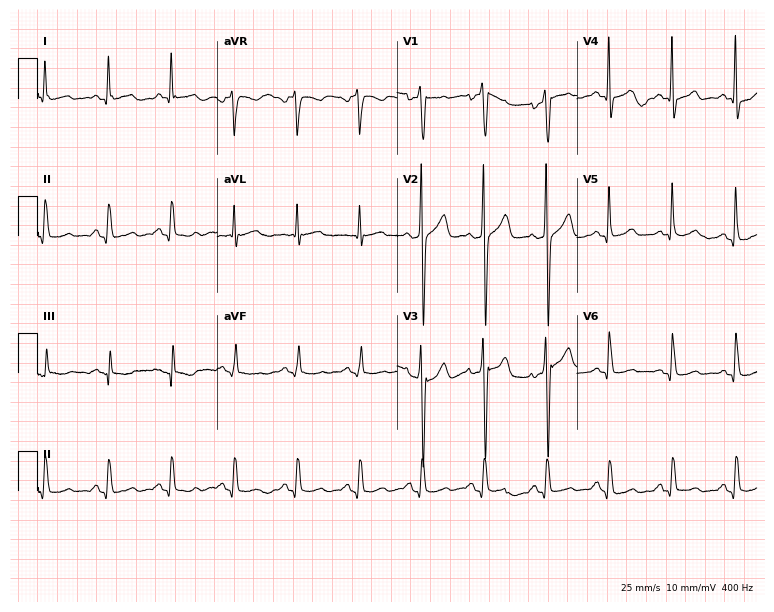
Electrocardiogram (7.3-second recording at 400 Hz), a man, 61 years old. Of the six screened findings (first-degree AV block, right bundle branch block (RBBB), left bundle branch block (LBBB), sinus bradycardia, atrial fibrillation (AF), sinus tachycardia), none is recorded. Only these six findings were labelled.